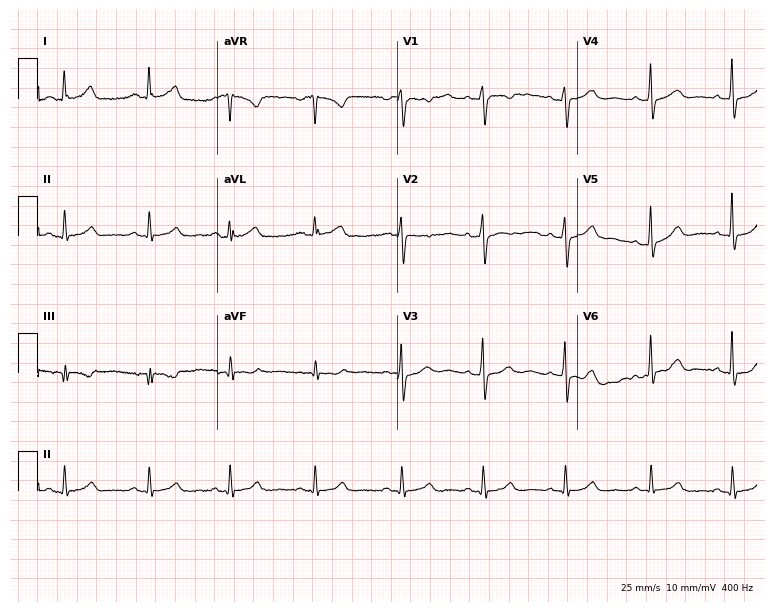
12-lead ECG (7.3-second recording at 400 Hz) from a female patient, 45 years old. Labelled as a normal ECG.